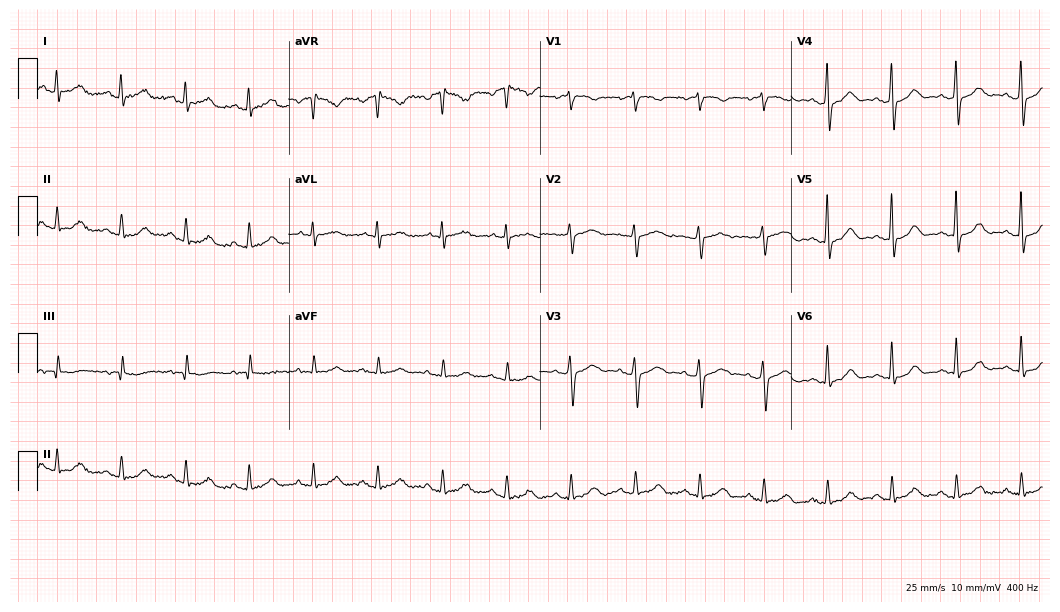
Resting 12-lead electrocardiogram. Patient: a 60-year-old female. Read as a normal ECG.